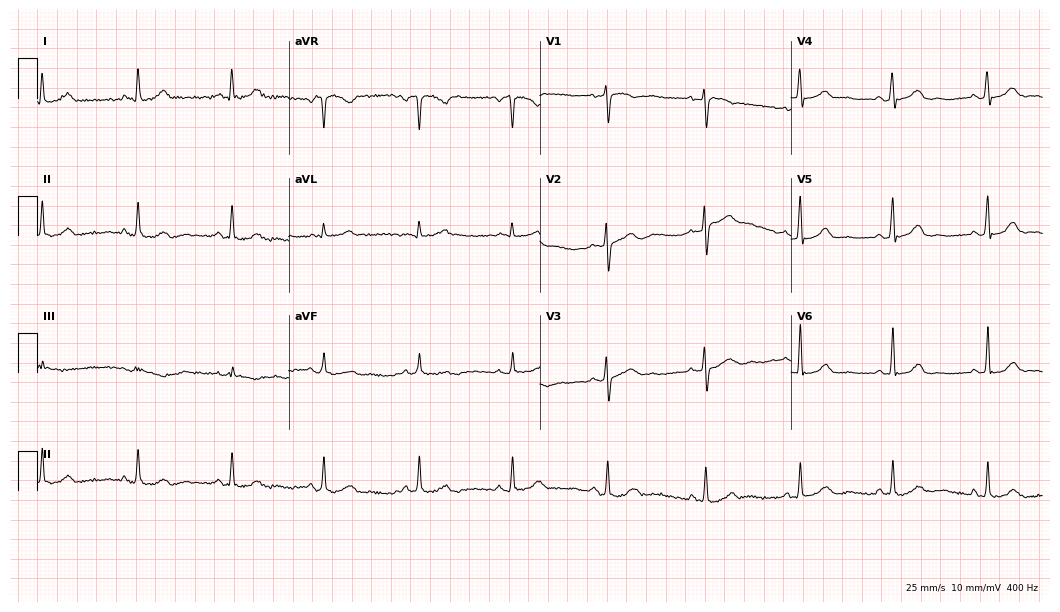
Standard 12-lead ECG recorded from a 43-year-old woman (10.2-second recording at 400 Hz). Read as a normal ECG.